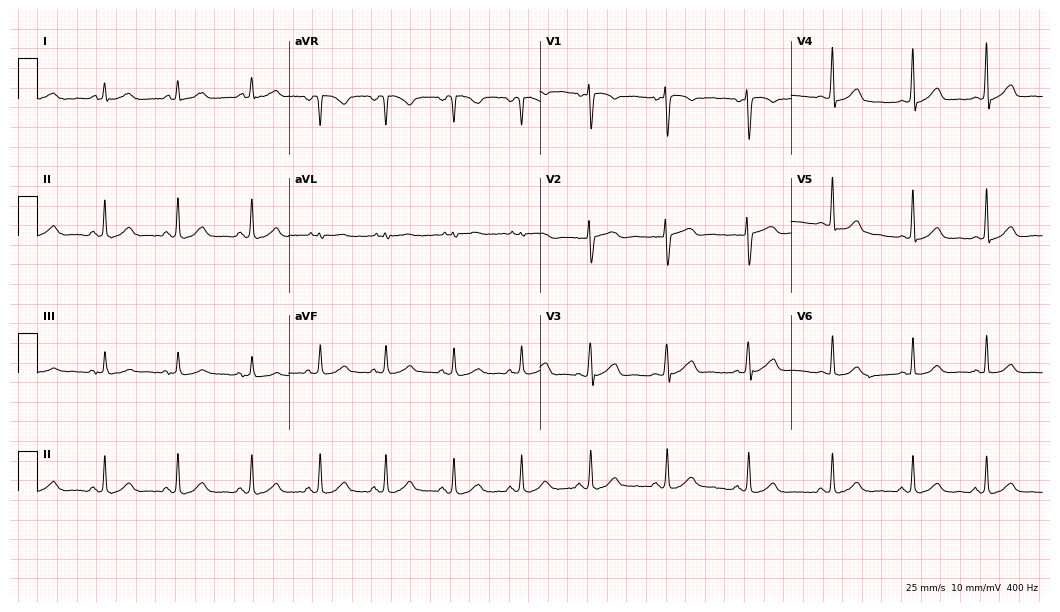
12-lead ECG from a female patient, 28 years old. Screened for six findings — first-degree AV block, right bundle branch block, left bundle branch block, sinus bradycardia, atrial fibrillation, sinus tachycardia — none is recorded.